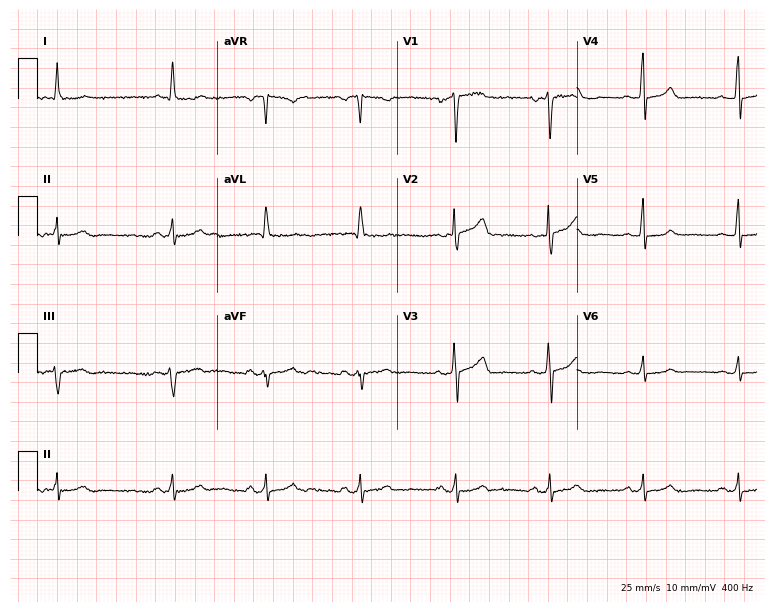
Standard 12-lead ECG recorded from a 63-year-old male (7.3-second recording at 400 Hz). Read as a normal ECG.